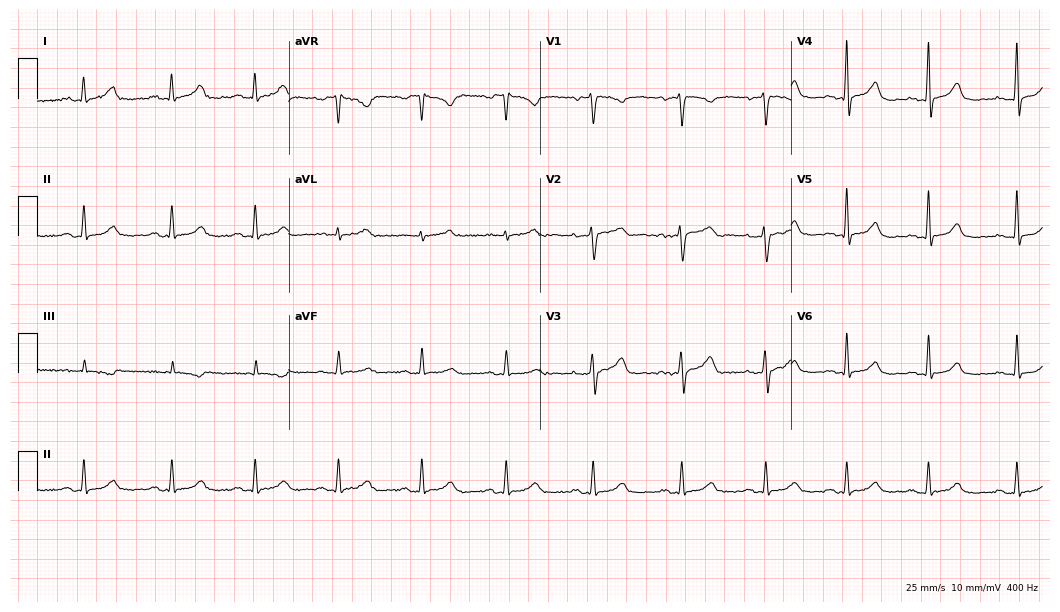
Standard 12-lead ECG recorded from a female, 44 years old (10.2-second recording at 400 Hz). Read as a normal ECG.